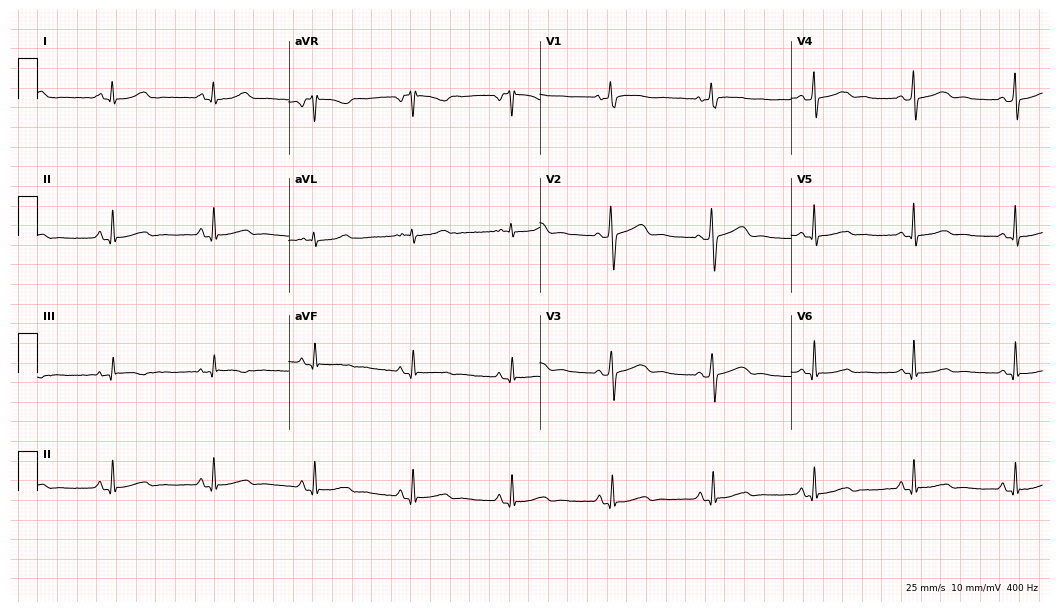
Standard 12-lead ECG recorded from a female, 35 years old (10.2-second recording at 400 Hz). Read as a normal ECG.